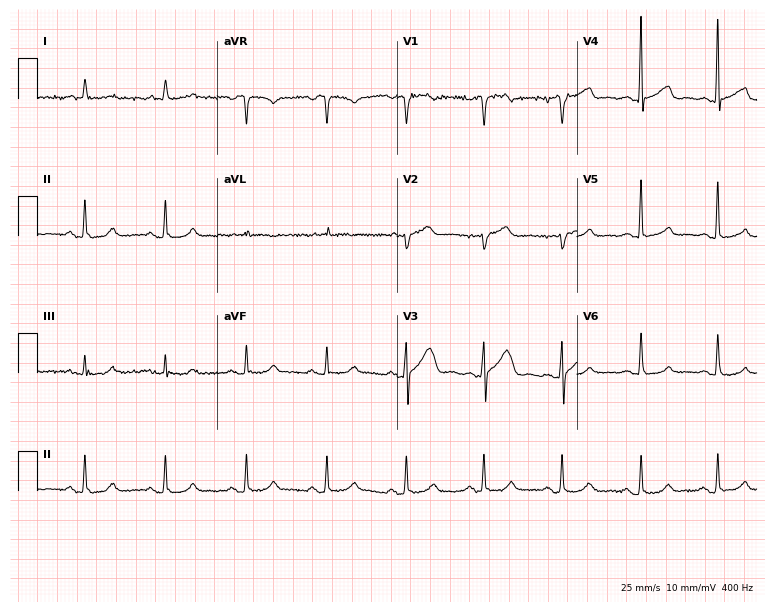
Standard 12-lead ECG recorded from a female patient, 56 years old. None of these six findings is recorded: first-degree AV block, right bundle branch block (RBBB), left bundle branch block (LBBB), sinus bradycardia, atrial fibrillation (AF), sinus tachycardia. Findings outside these six are not listed.